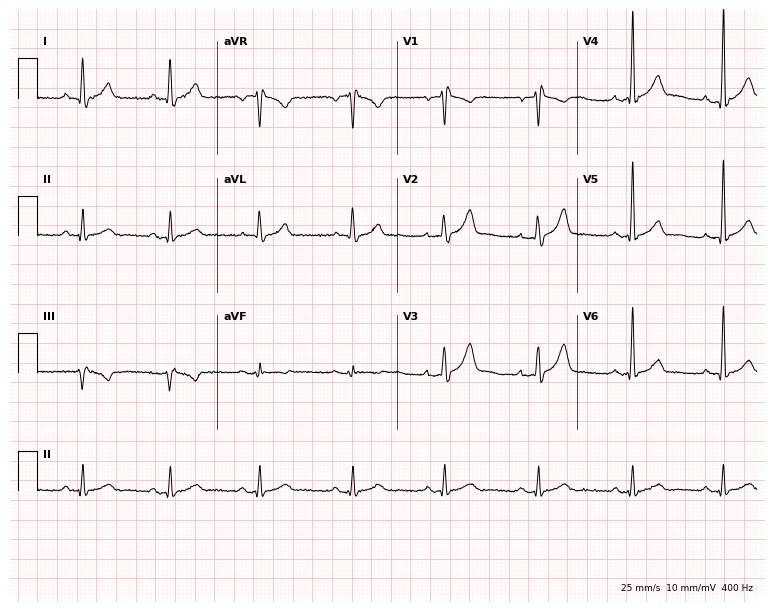
ECG (7.3-second recording at 400 Hz) — a man, 57 years old. Screened for six findings — first-degree AV block, right bundle branch block, left bundle branch block, sinus bradycardia, atrial fibrillation, sinus tachycardia — none is recorded. Findings outside these six are not listed.